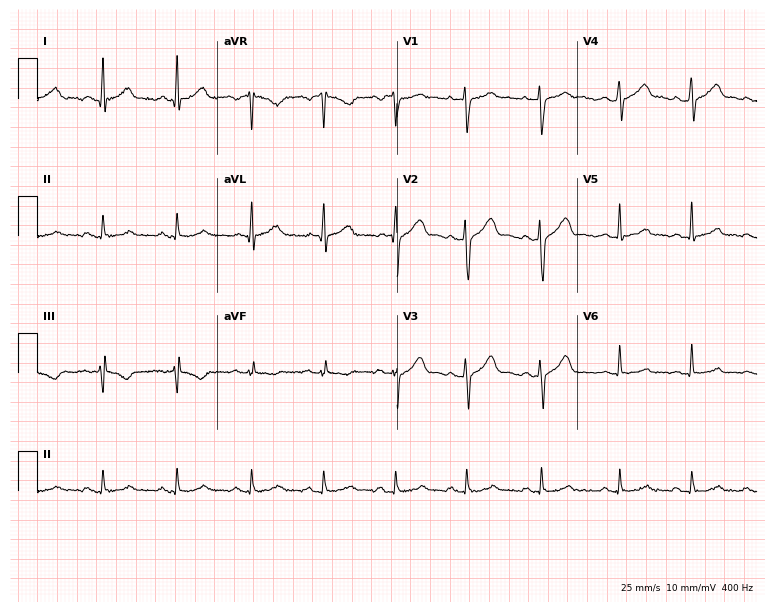
Standard 12-lead ECG recorded from a 36-year-old male (7.3-second recording at 400 Hz). Read as a normal ECG.